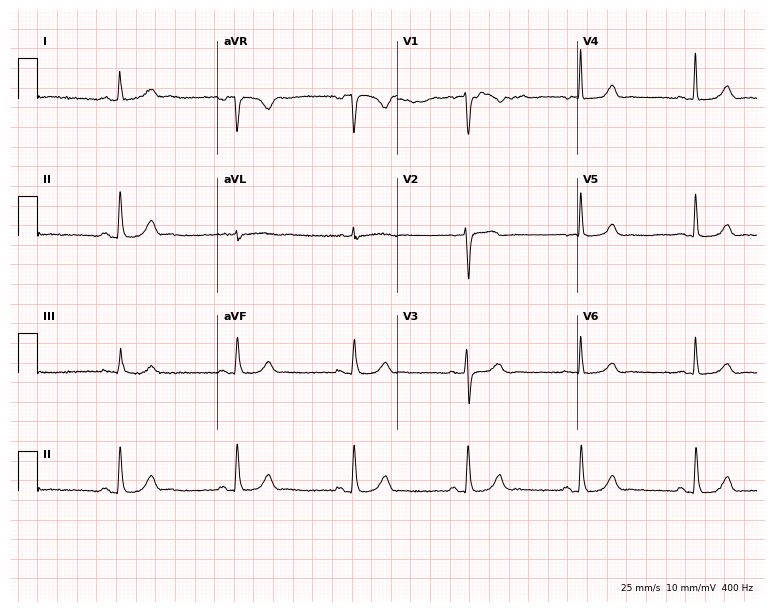
Electrocardiogram, a female patient, 61 years old. Overall reading on record: normal ECG.